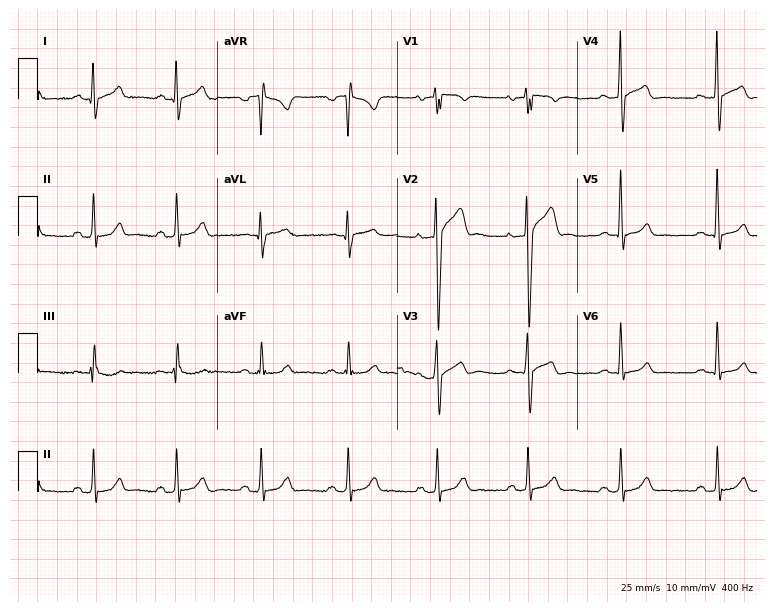
Standard 12-lead ECG recorded from a man, 31 years old. None of these six findings is recorded: first-degree AV block, right bundle branch block, left bundle branch block, sinus bradycardia, atrial fibrillation, sinus tachycardia.